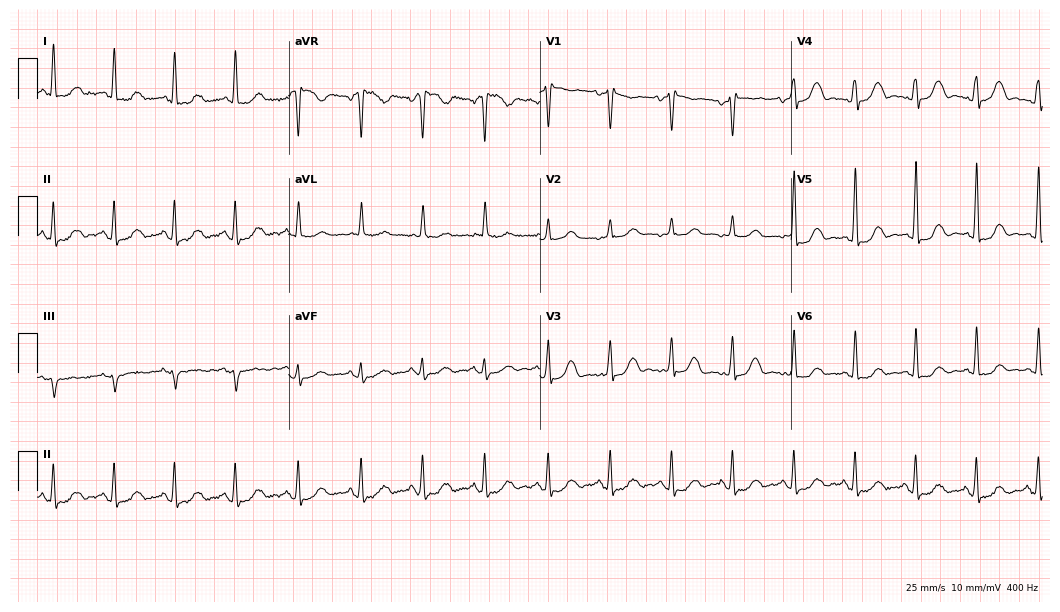
Electrocardiogram (10.2-second recording at 400 Hz), a 47-year-old female patient. Overall reading on record: normal ECG.